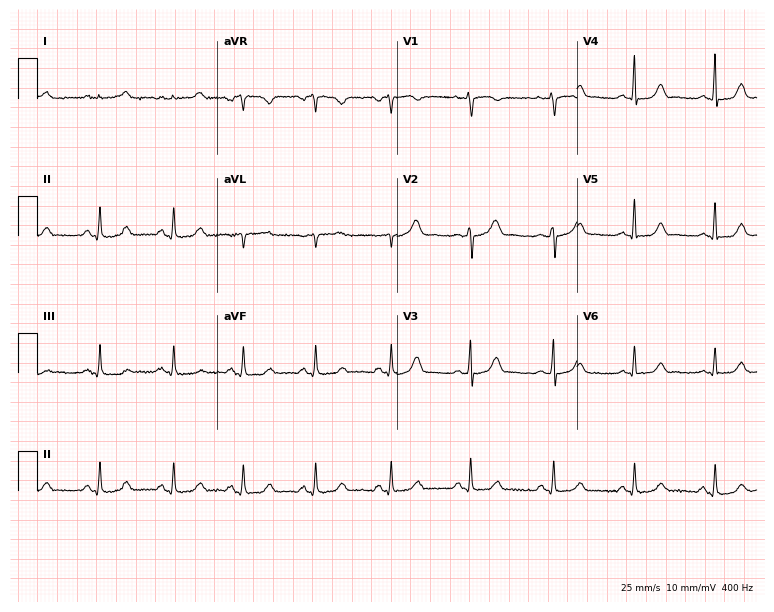
12-lead ECG from a 43-year-old female patient. Screened for six findings — first-degree AV block, right bundle branch block, left bundle branch block, sinus bradycardia, atrial fibrillation, sinus tachycardia — none is recorded. Only these six findings were labelled.